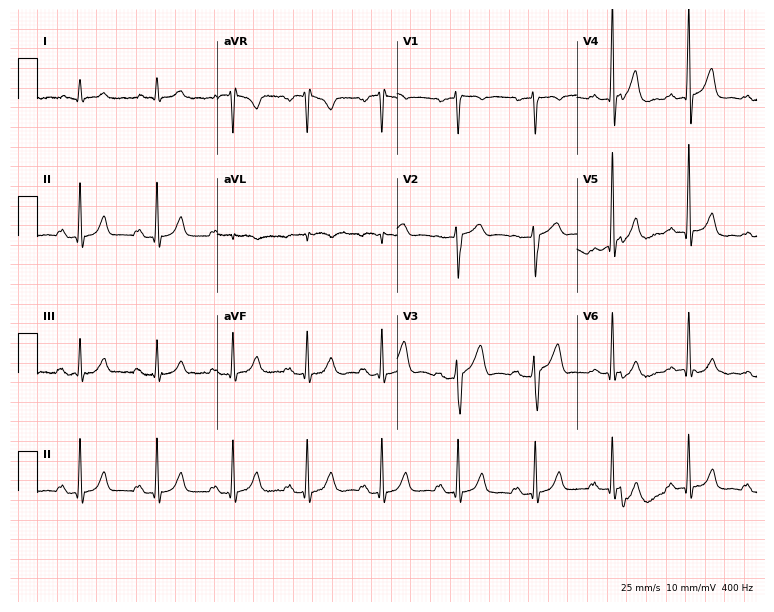
Electrocardiogram (7.3-second recording at 400 Hz), a male, 65 years old. Overall reading on record: normal ECG.